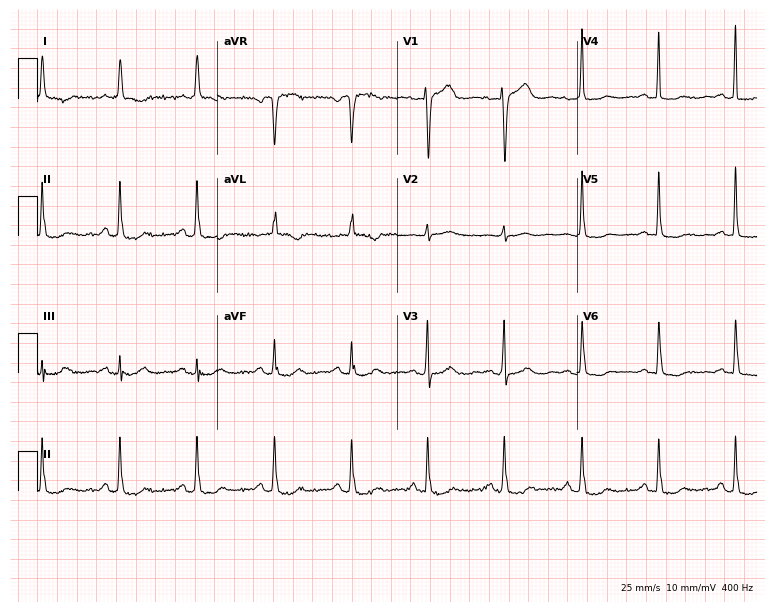
12-lead ECG from a 75-year-old woman (7.3-second recording at 400 Hz). No first-degree AV block, right bundle branch block, left bundle branch block, sinus bradycardia, atrial fibrillation or sinus tachycardia recorded for this tracing.